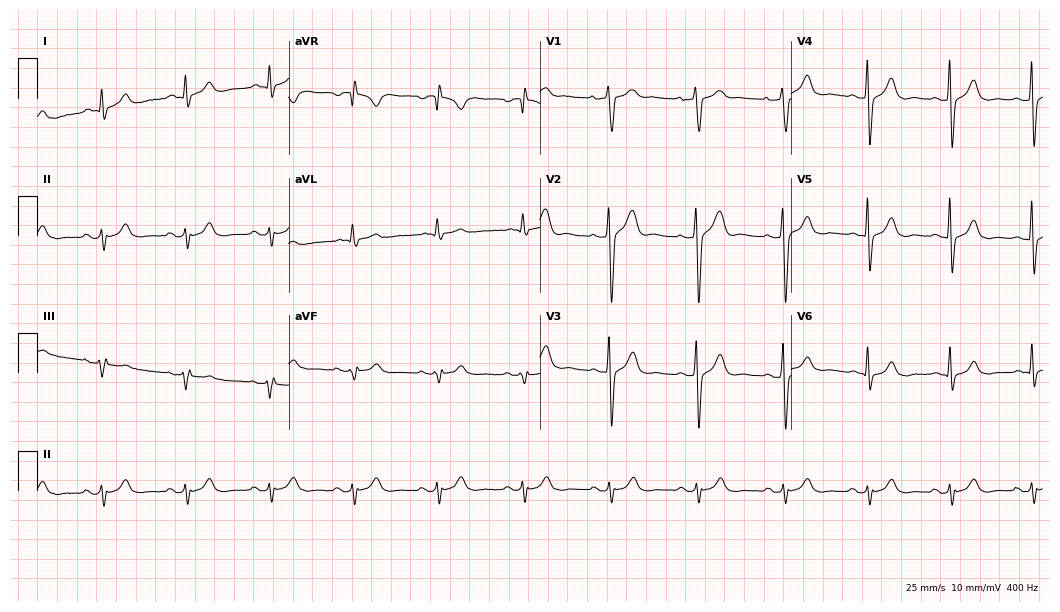
Electrocardiogram (10.2-second recording at 400 Hz), a male patient, 35 years old. Of the six screened findings (first-degree AV block, right bundle branch block (RBBB), left bundle branch block (LBBB), sinus bradycardia, atrial fibrillation (AF), sinus tachycardia), none is recorded.